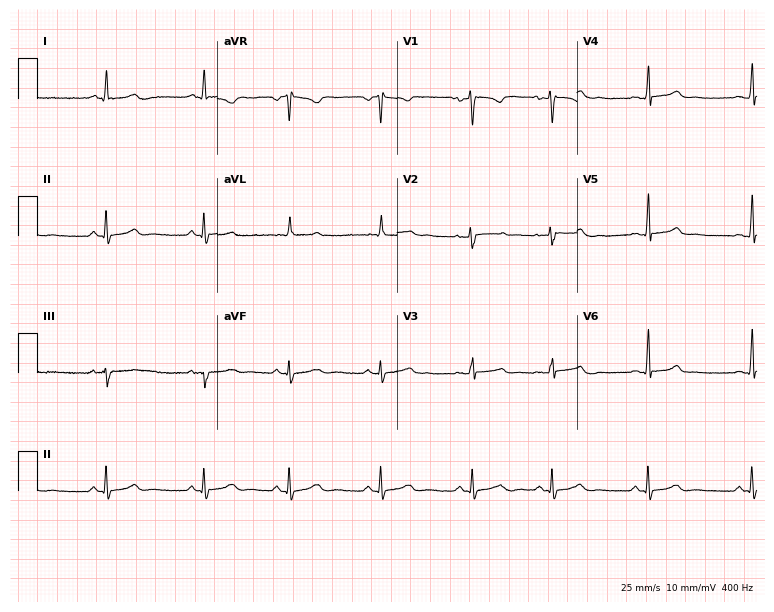
Resting 12-lead electrocardiogram (7.3-second recording at 400 Hz). Patient: a female, 28 years old. None of these six findings is recorded: first-degree AV block, right bundle branch block, left bundle branch block, sinus bradycardia, atrial fibrillation, sinus tachycardia. Findings outside these six are not listed.